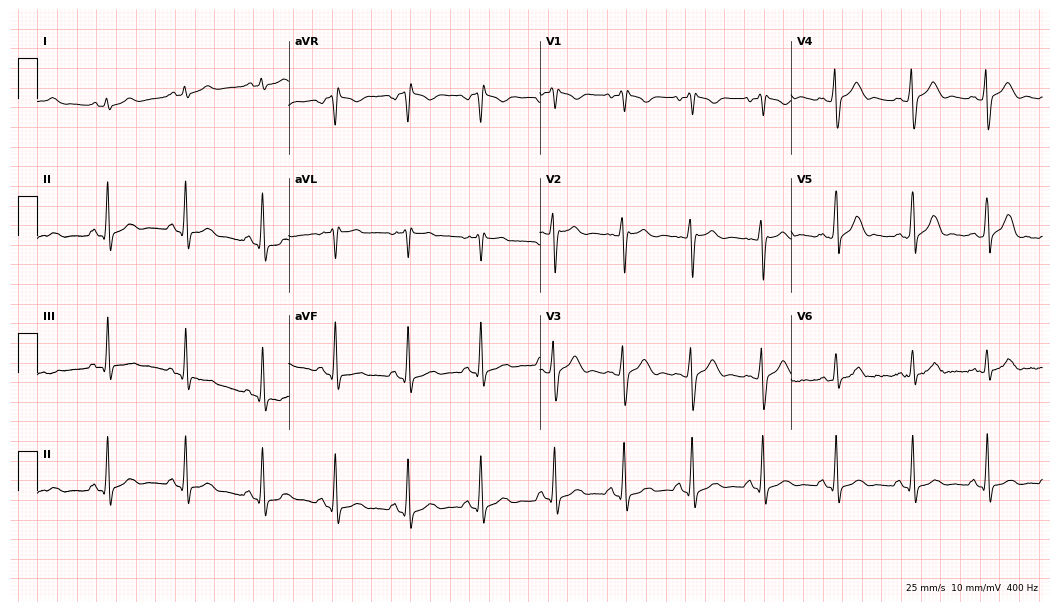
12-lead ECG from an 18-year-old male patient. No first-degree AV block, right bundle branch block, left bundle branch block, sinus bradycardia, atrial fibrillation or sinus tachycardia recorded for this tracing. Only these six findings were labelled.